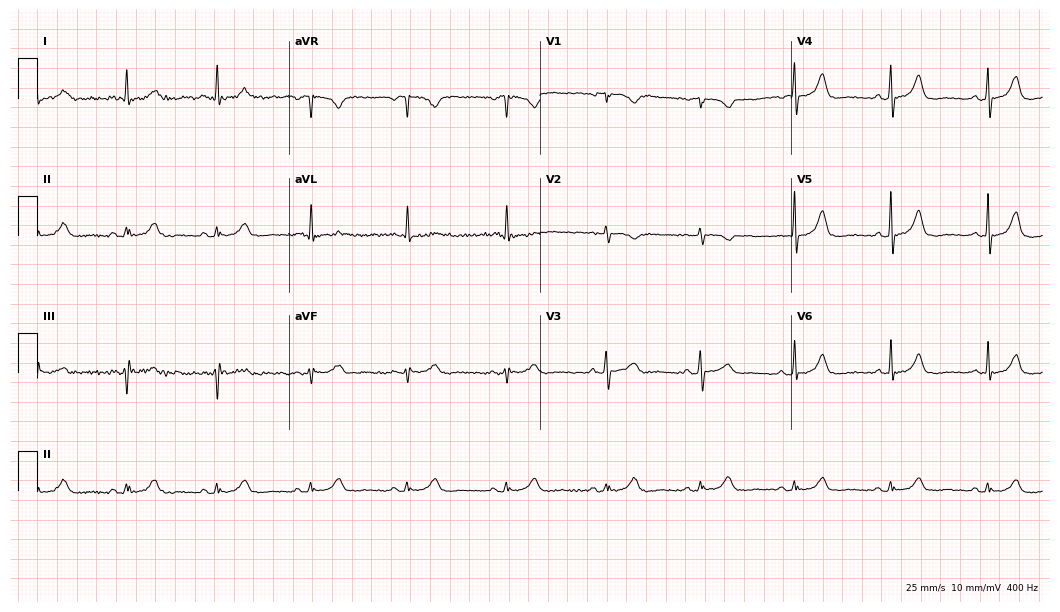
12-lead ECG from a woman, 73 years old. Recorded interpretation: within normal limits.